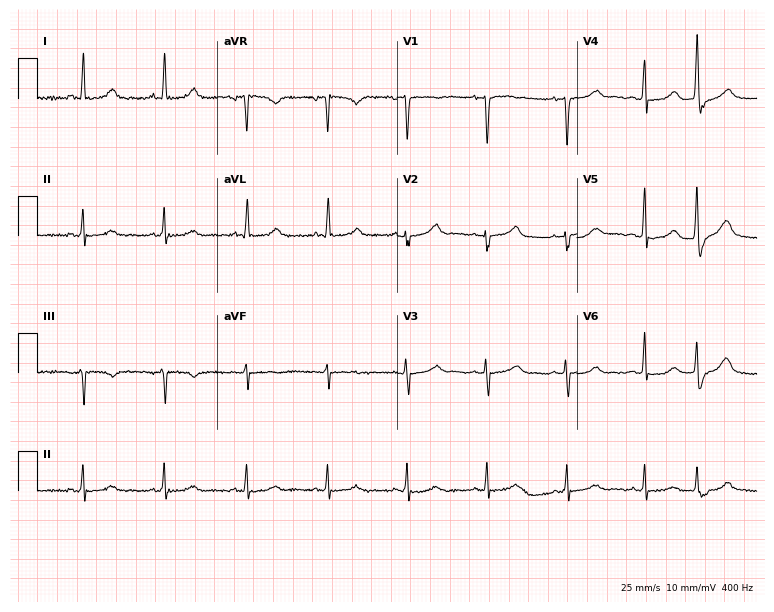
Resting 12-lead electrocardiogram (7.3-second recording at 400 Hz). Patient: a female, 76 years old. Read as a normal ECG.